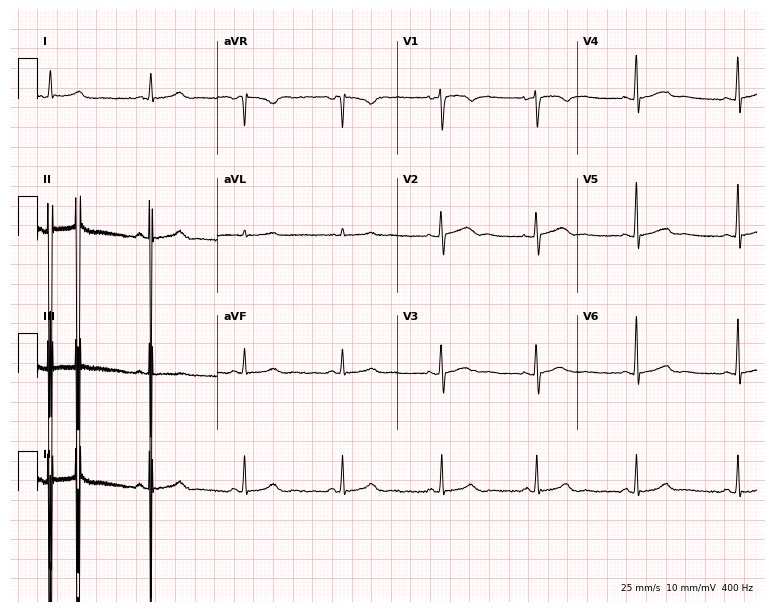
12-lead ECG from a female, 44 years old (7.3-second recording at 400 Hz). No first-degree AV block, right bundle branch block, left bundle branch block, sinus bradycardia, atrial fibrillation or sinus tachycardia recorded for this tracing.